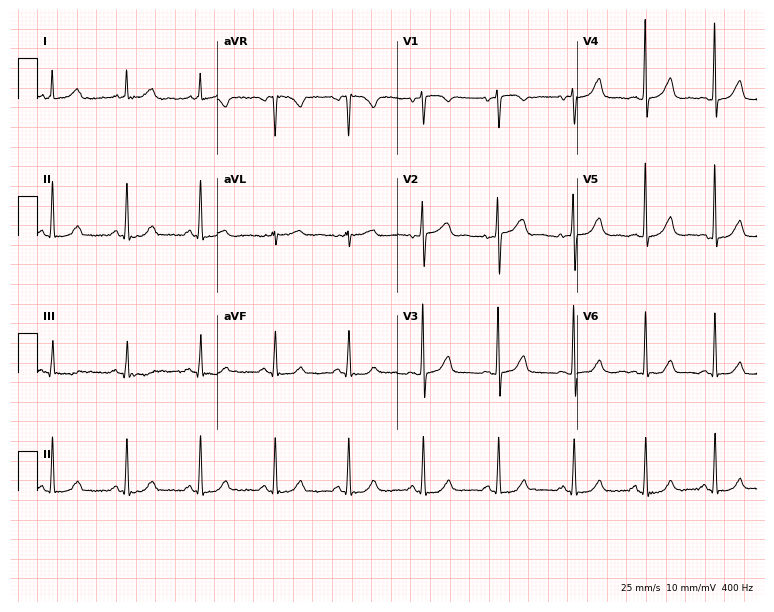
12-lead ECG from a 44-year-old female (7.3-second recording at 400 Hz). Recorded interpretation: within normal limits.